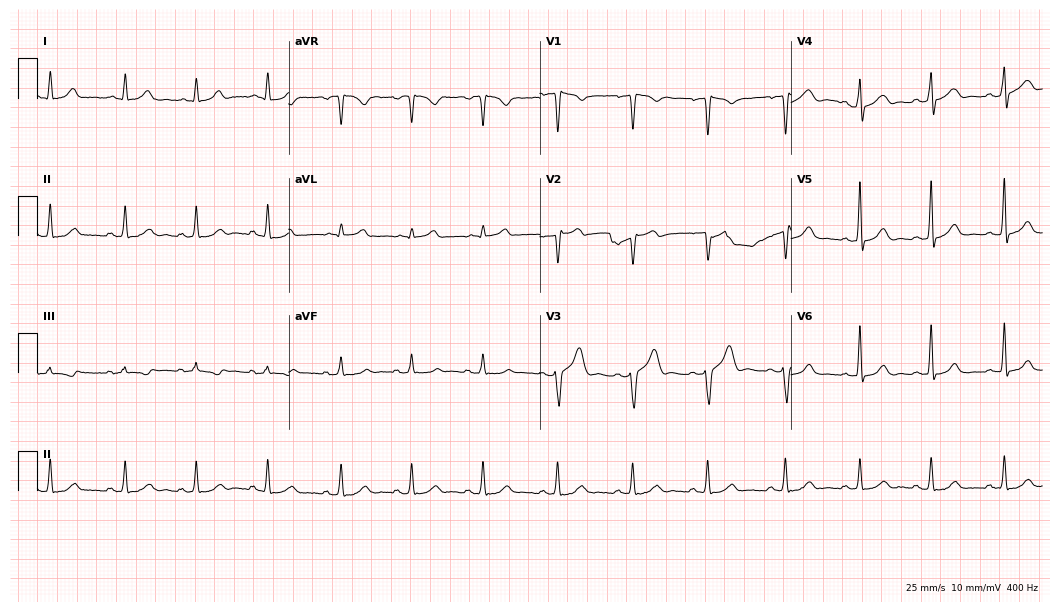
12-lead ECG from a 31-year-old male. Screened for six findings — first-degree AV block, right bundle branch block, left bundle branch block, sinus bradycardia, atrial fibrillation, sinus tachycardia — none is recorded.